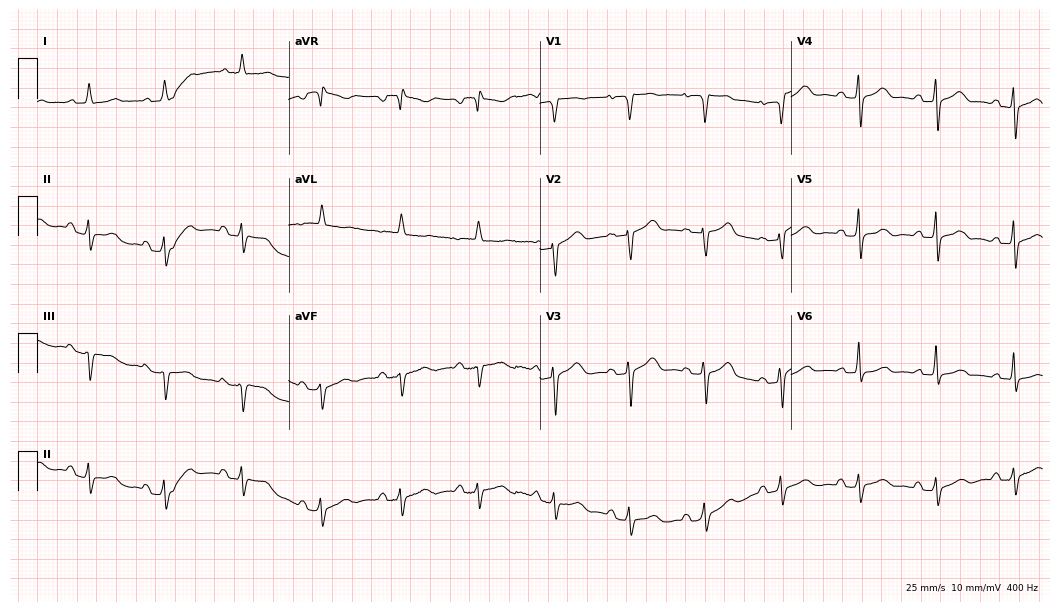
12-lead ECG from an 83-year-old man (10.2-second recording at 400 Hz). No first-degree AV block, right bundle branch block (RBBB), left bundle branch block (LBBB), sinus bradycardia, atrial fibrillation (AF) or sinus tachycardia recorded for this tracing. Only these six findings were labelled.